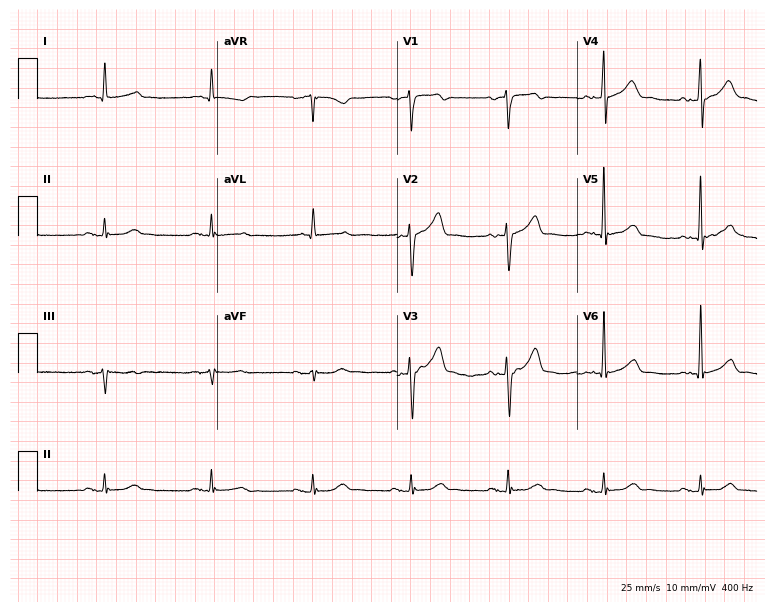
12-lead ECG from an 82-year-old man (7.3-second recording at 400 Hz). No first-degree AV block, right bundle branch block, left bundle branch block, sinus bradycardia, atrial fibrillation or sinus tachycardia recorded for this tracing.